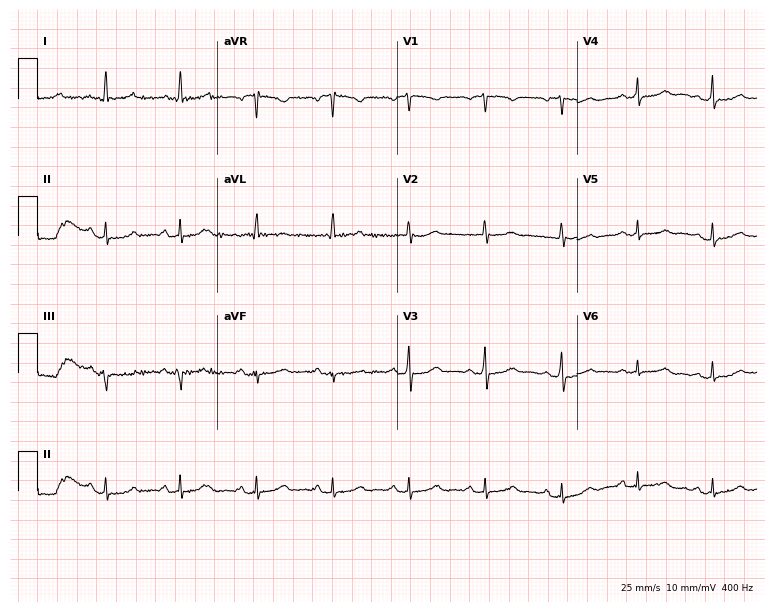
Electrocardiogram, a 60-year-old female. Overall reading on record: normal ECG.